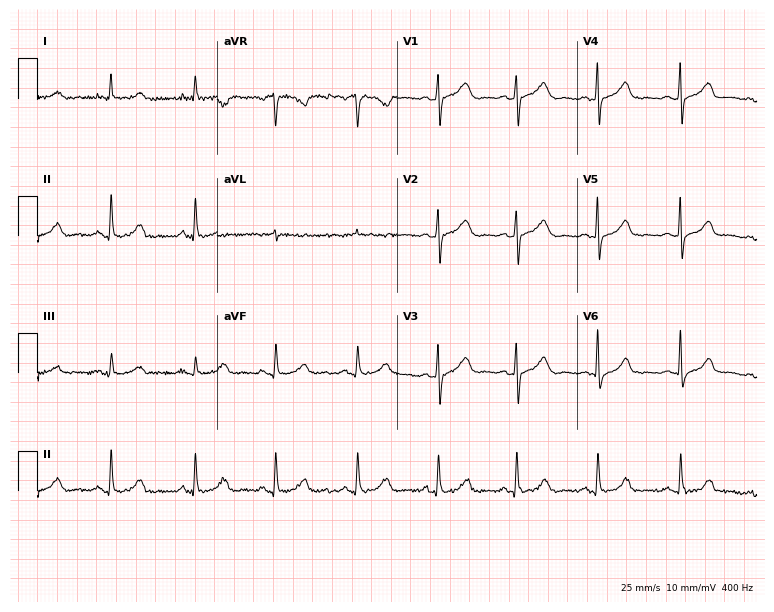
ECG — a woman, 56 years old. Labelled as a normal ECG.